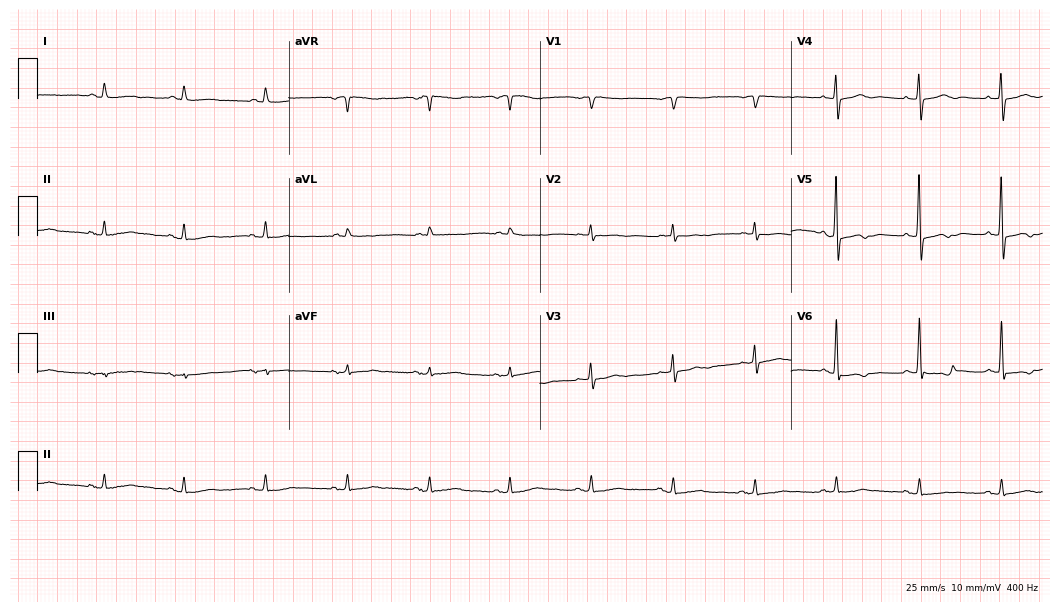
Electrocardiogram (10.2-second recording at 400 Hz), a female patient, 84 years old. Of the six screened findings (first-degree AV block, right bundle branch block, left bundle branch block, sinus bradycardia, atrial fibrillation, sinus tachycardia), none is recorded.